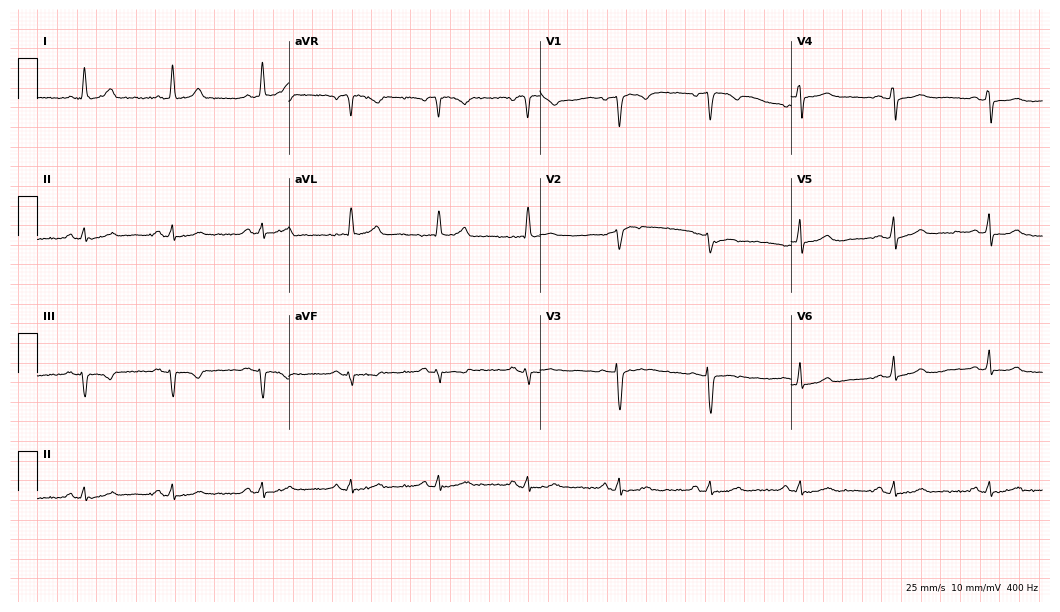
Standard 12-lead ECG recorded from a 50-year-old female patient (10.2-second recording at 400 Hz). Read as a normal ECG.